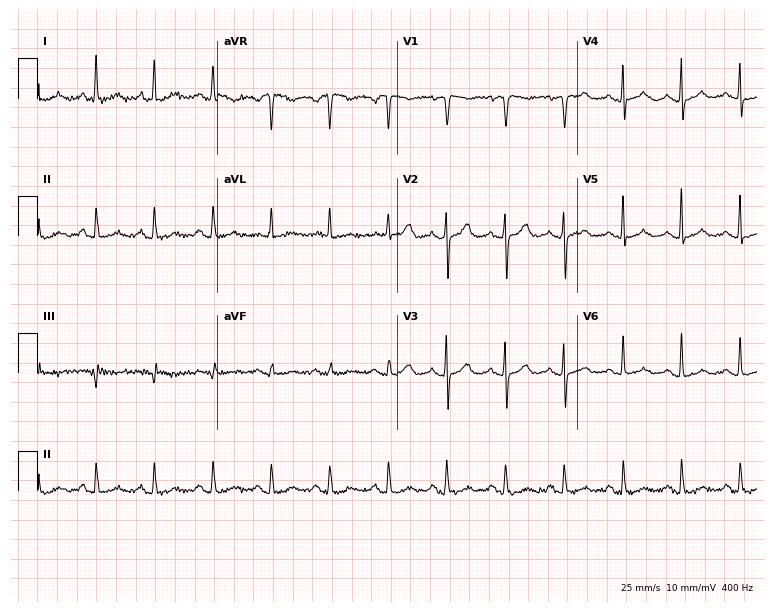
12-lead ECG from a 19-year-old woman. Screened for six findings — first-degree AV block, right bundle branch block (RBBB), left bundle branch block (LBBB), sinus bradycardia, atrial fibrillation (AF), sinus tachycardia — none is recorded.